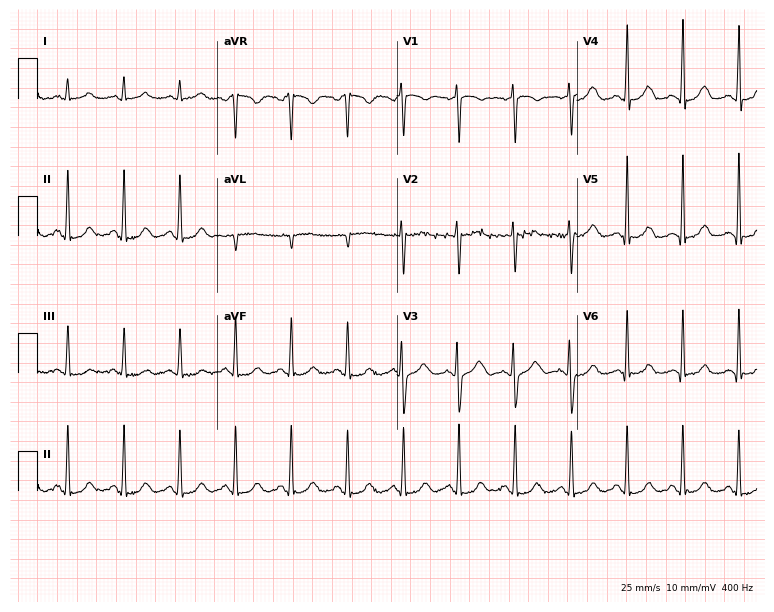
Standard 12-lead ECG recorded from a female patient, 38 years old. The tracing shows sinus tachycardia (a sinus rate of 100 beats per minute or more).